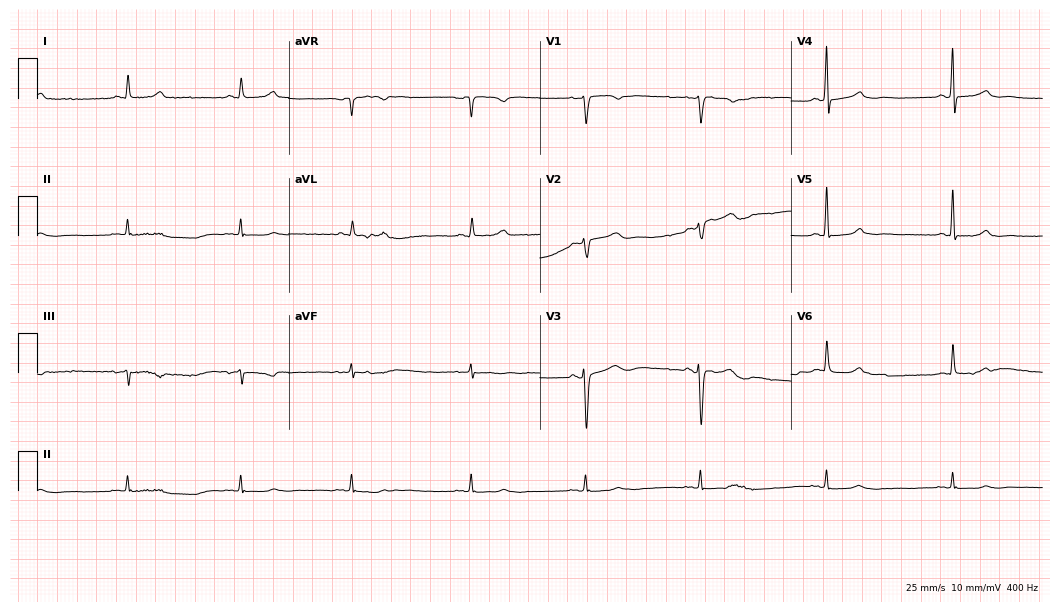
Resting 12-lead electrocardiogram (10.2-second recording at 400 Hz). Patient: a female, 57 years old. The tracing shows sinus bradycardia (a sinus rate of 50 beats per minute or less).